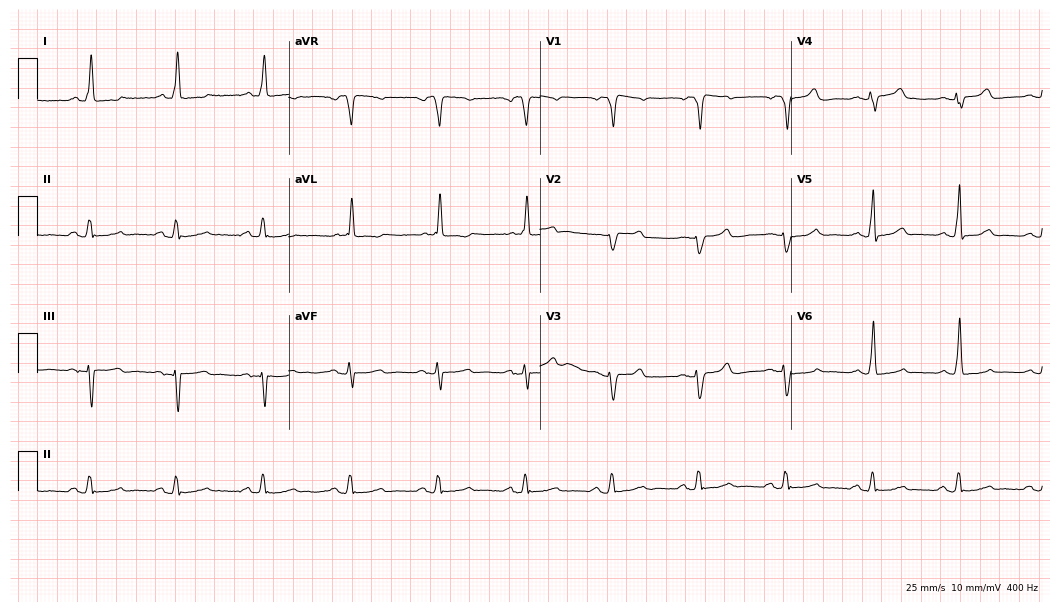
Standard 12-lead ECG recorded from a woman, 81 years old (10.2-second recording at 400 Hz). Read as a normal ECG.